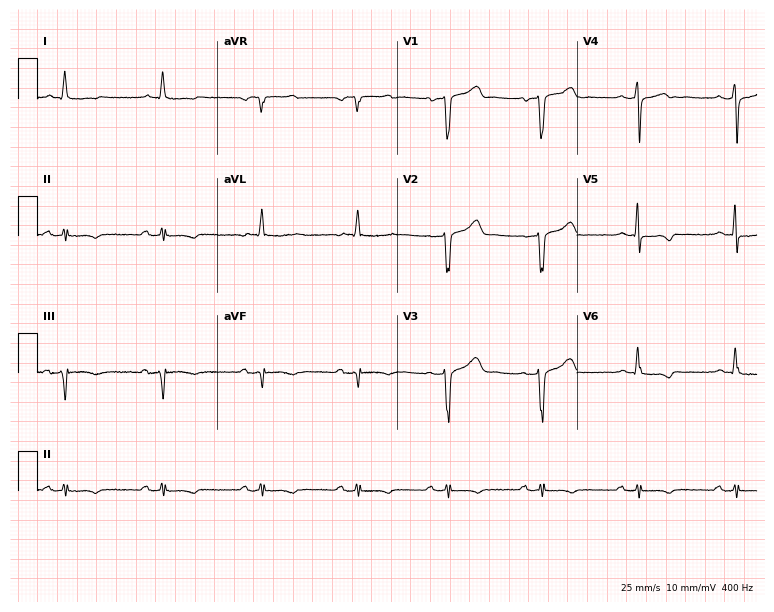
12-lead ECG from a male patient, 55 years old. No first-degree AV block, right bundle branch block (RBBB), left bundle branch block (LBBB), sinus bradycardia, atrial fibrillation (AF) or sinus tachycardia recorded for this tracing. Only these six findings were labelled.